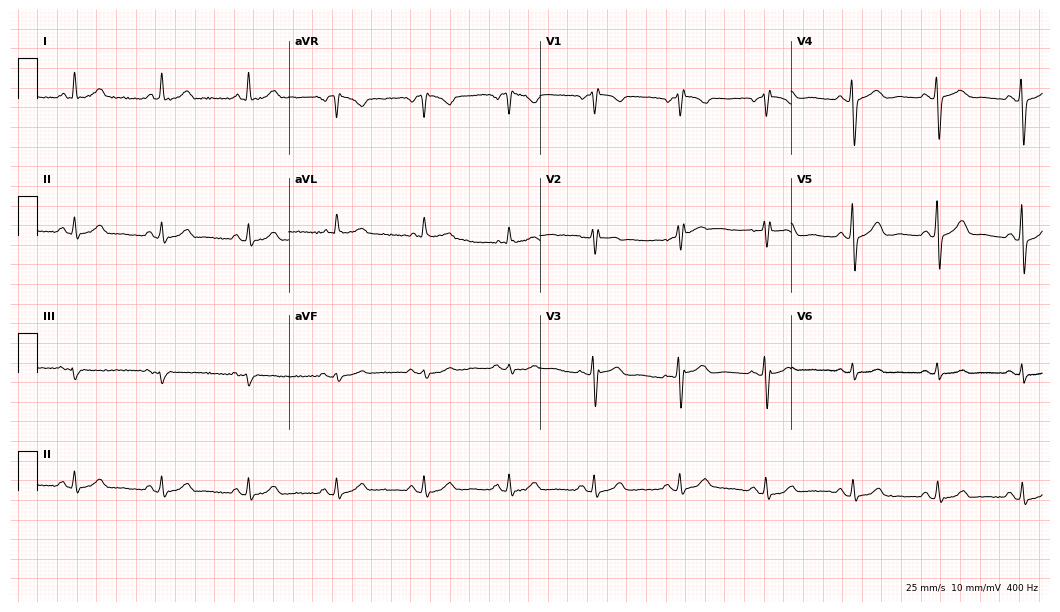
Resting 12-lead electrocardiogram (10.2-second recording at 400 Hz). Patient: a woman, 58 years old. Read as a normal ECG.